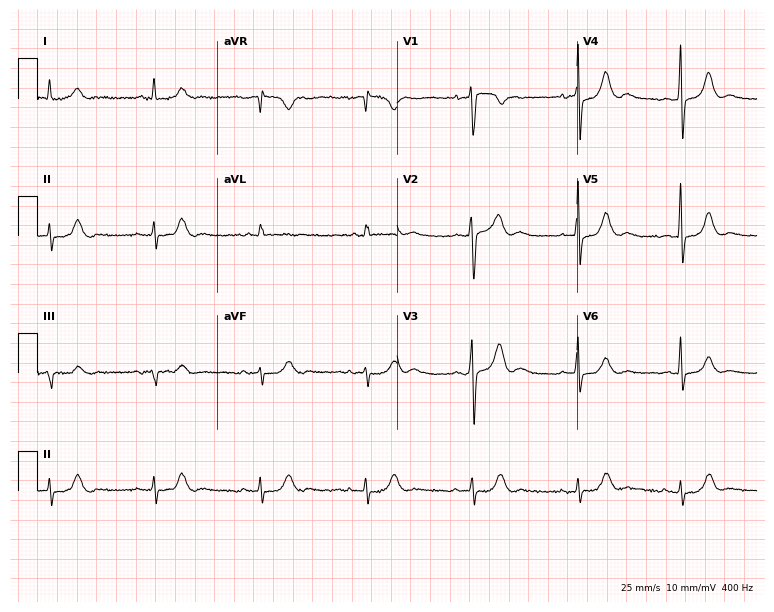
Resting 12-lead electrocardiogram. Patient: a 69-year-old male. None of these six findings is recorded: first-degree AV block, right bundle branch block, left bundle branch block, sinus bradycardia, atrial fibrillation, sinus tachycardia.